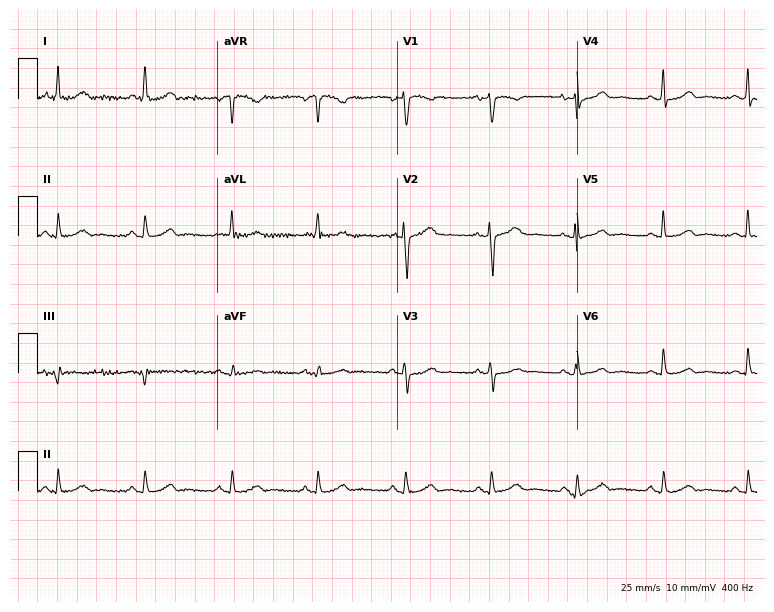
Standard 12-lead ECG recorded from a female, 63 years old. Read as a normal ECG.